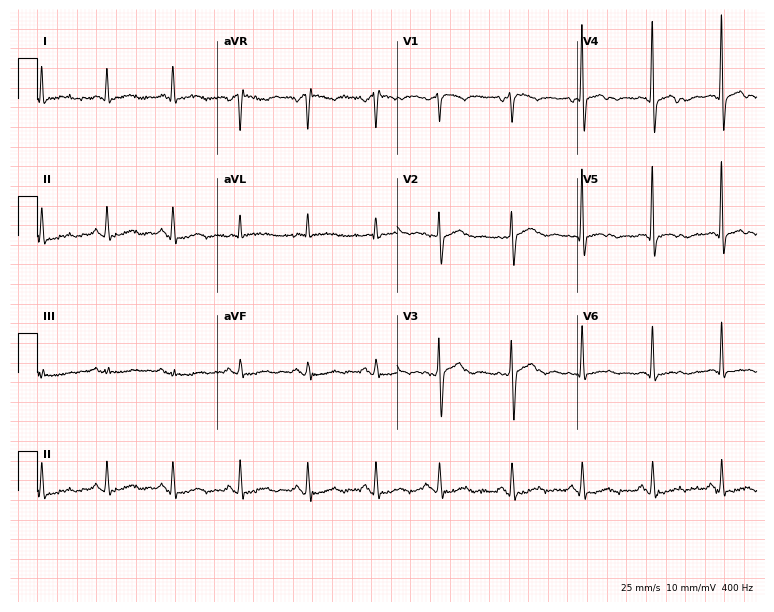
Resting 12-lead electrocardiogram (7.3-second recording at 400 Hz). Patient: a 77-year-old man. None of these six findings is recorded: first-degree AV block, right bundle branch block, left bundle branch block, sinus bradycardia, atrial fibrillation, sinus tachycardia. Only these six findings were labelled.